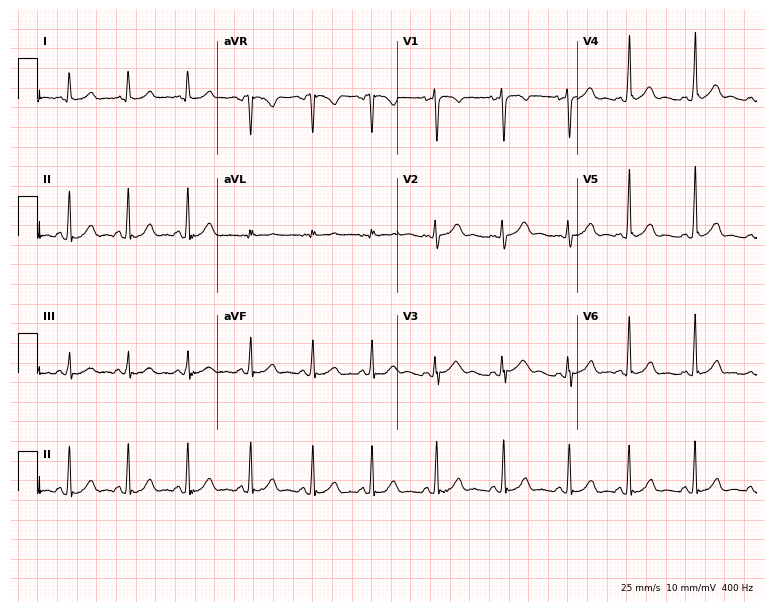
ECG (7.3-second recording at 400 Hz) — a female, 18 years old. Labelled as a normal ECG.